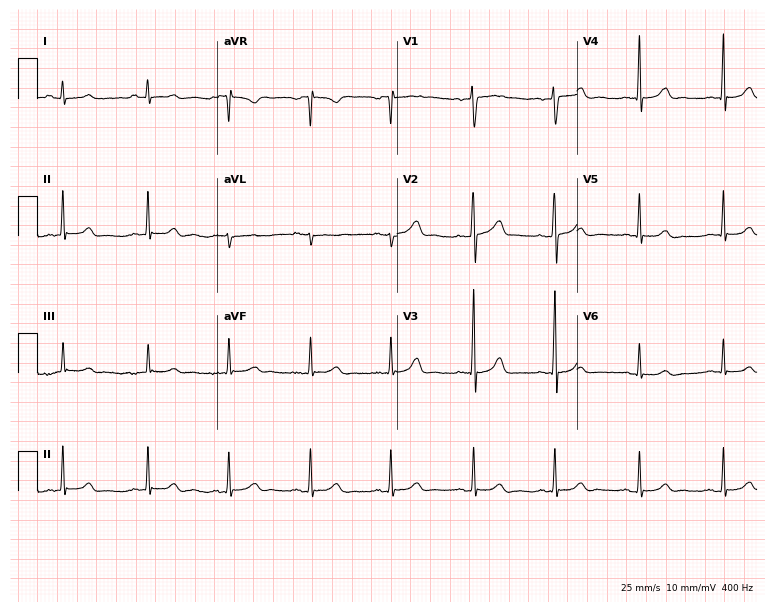
12-lead ECG from a 20-year-old female (7.3-second recording at 400 Hz). Recorded interpretation: within normal limits.